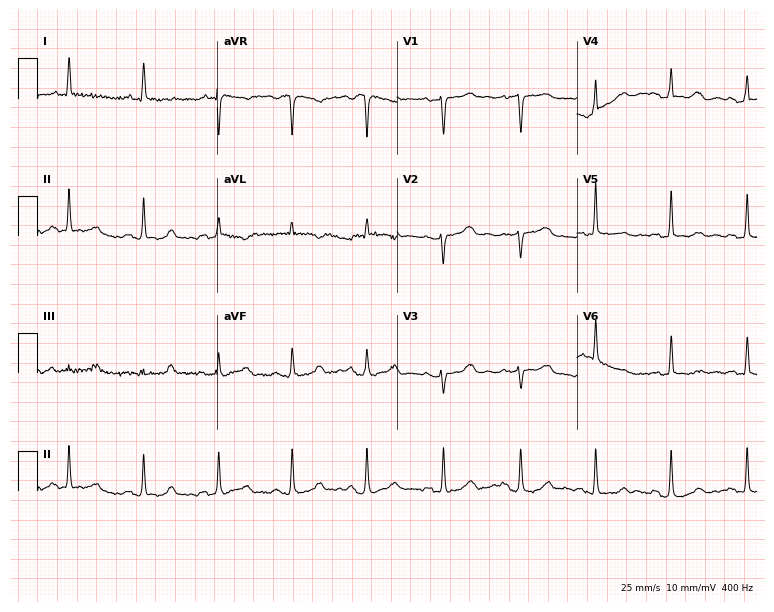
12-lead ECG from a female patient, 74 years old. Screened for six findings — first-degree AV block, right bundle branch block, left bundle branch block, sinus bradycardia, atrial fibrillation, sinus tachycardia — none is recorded. Other findings, if any, are not listed.